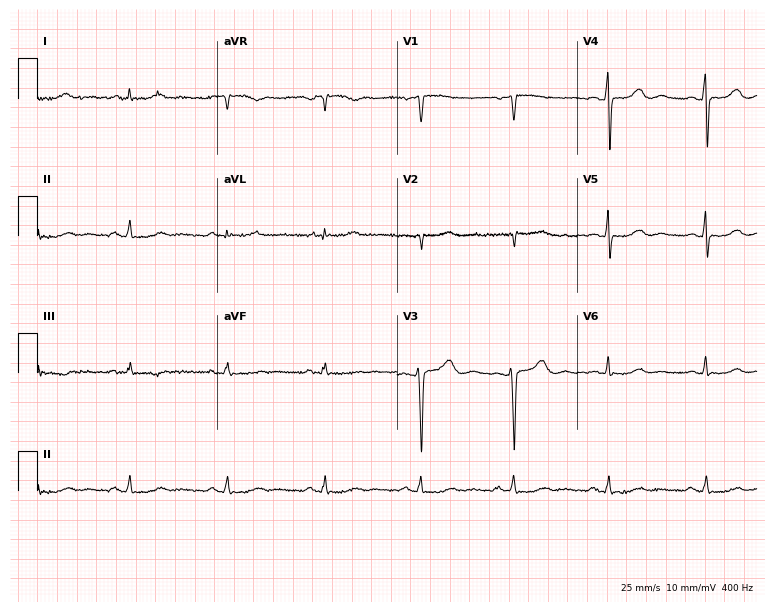
Resting 12-lead electrocardiogram (7.3-second recording at 400 Hz). Patient: a 56-year-old woman. None of these six findings is recorded: first-degree AV block, right bundle branch block (RBBB), left bundle branch block (LBBB), sinus bradycardia, atrial fibrillation (AF), sinus tachycardia.